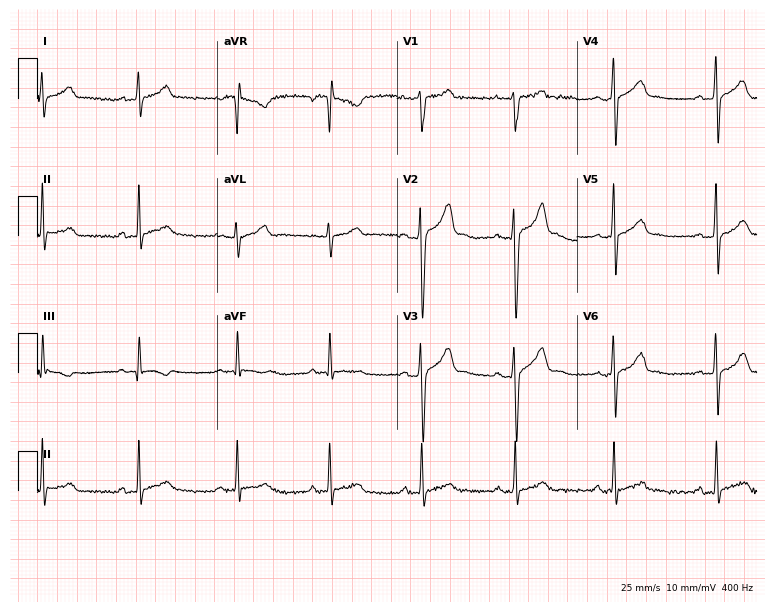
Electrocardiogram, a 21-year-old man. Overall reading on record: normal ECG.